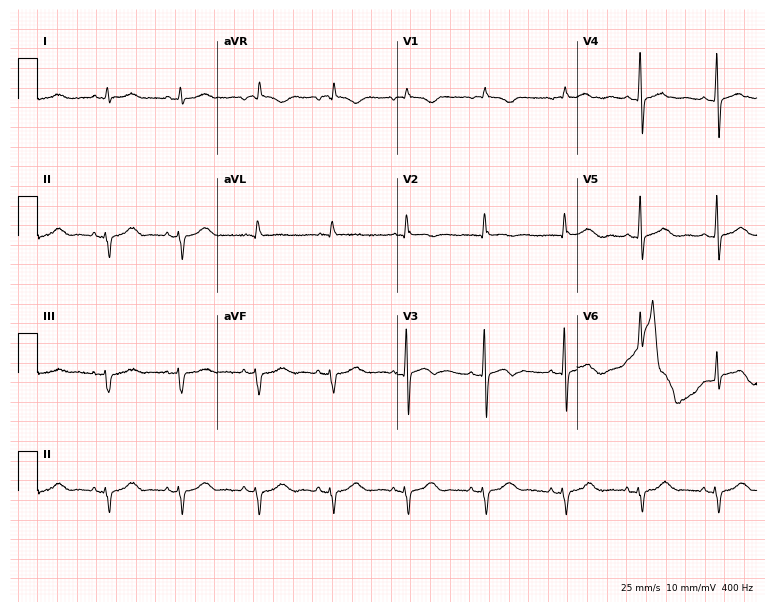
12-lead ECG (7.3-second recording at 400 Hz) from a 69-year-old woman. Screened for six findings — first-degree AV block, right bundle branch block, left bundle branch block, sinus bradycardia, atrial fibrillation, sinus tachycardia — none is recorded.